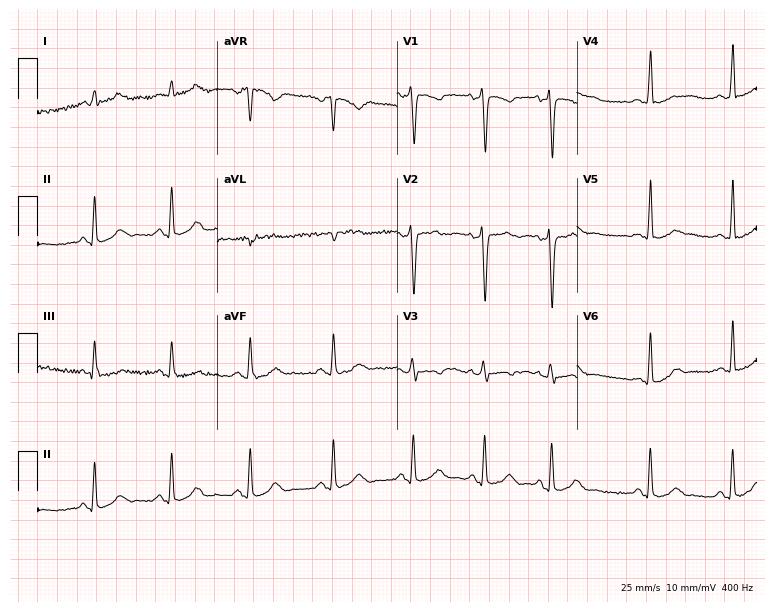
Electrocardiogram, a 17-year-old female. Of the six screened findings (first-degree AV block, right bundle branch block, left bundle branch block, sinus bradycardia, atrial fibrillation, sinus tachycardia), none is recorded.